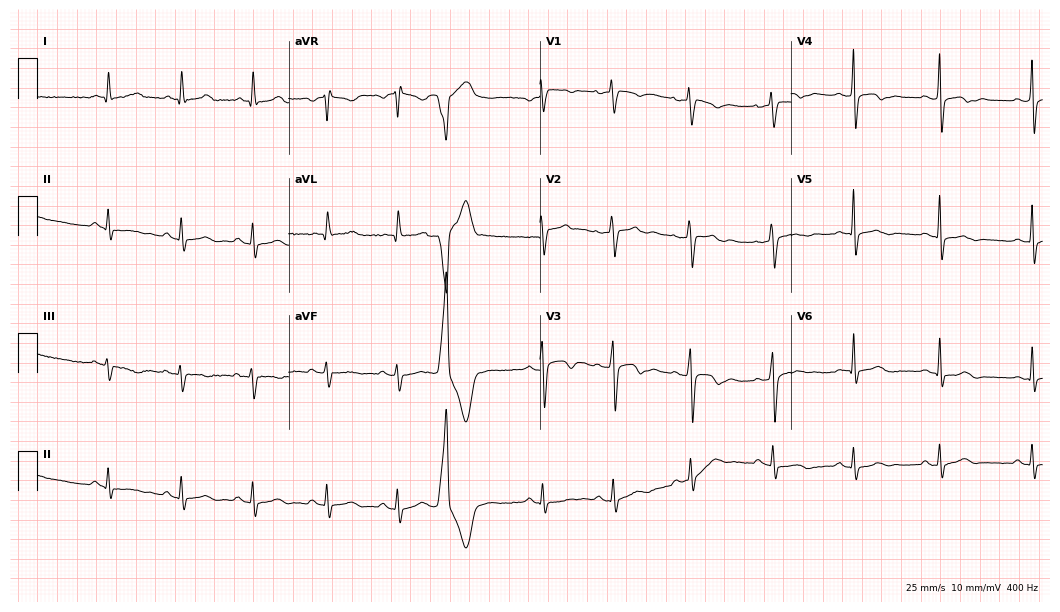
12-lead ECG from a 49-year-old man (10.2-second recording at 400 Hz). No first-degree AV block, right bundle branch block, left bundle branch block, sinus bradycardia, atrial fibrillation or sinus tachycardia recorded for this tracing. Other findings, if any, are not listed.